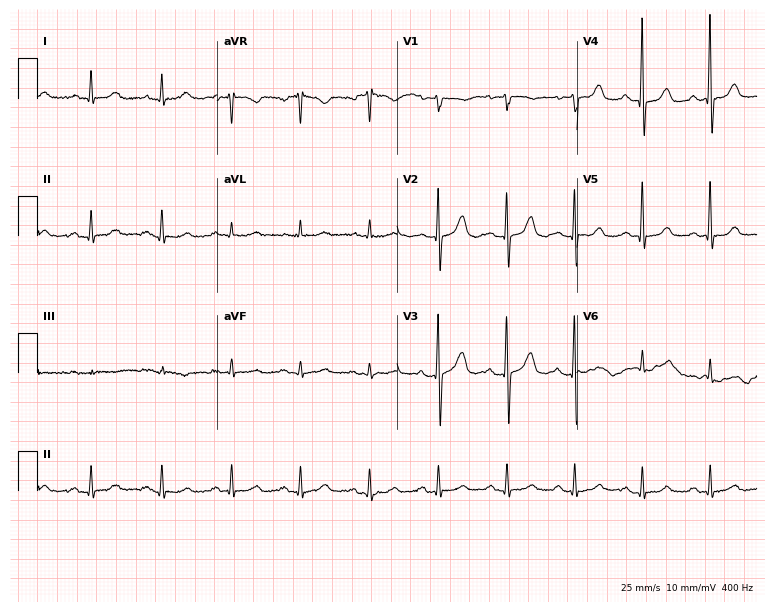
12-lead ECG from a 75-year-old female (7.3-second recording at 400 Hz). Recorded interpretation: within normal limits.